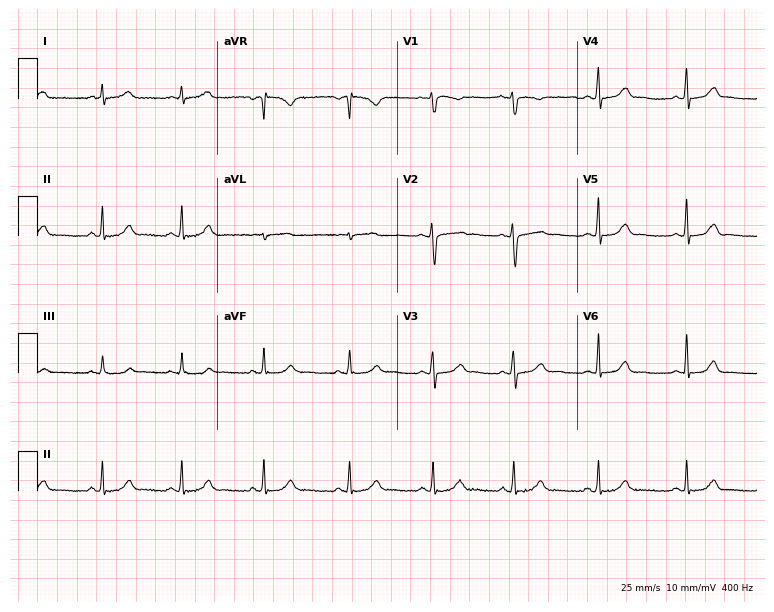
Electrocardiogram (7.3-second recording at 400 Hz), a 44-year-old woman. Of the six screened findings (first-degree AV block, right bundle branch block, left bundle branch block, sinus bradycardia, atrial fibrillation, sinus tachycardia), none is recorded. Findings outside these six are not listed.